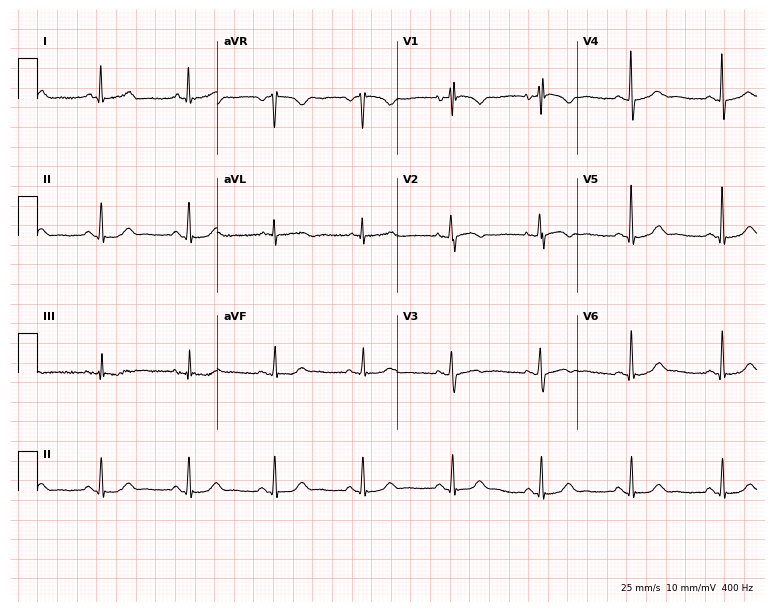
Standard 12-lead ECG recorded from a 66-year-old female patient. None of these six findings is recorded: first-degree AV block, right bundle branch block (RBBB), left bundle branch block (LBBB), sinus bradycardia, atrial fibrillation (AF), sinus tachycardia. Findings outside these six are not listed.